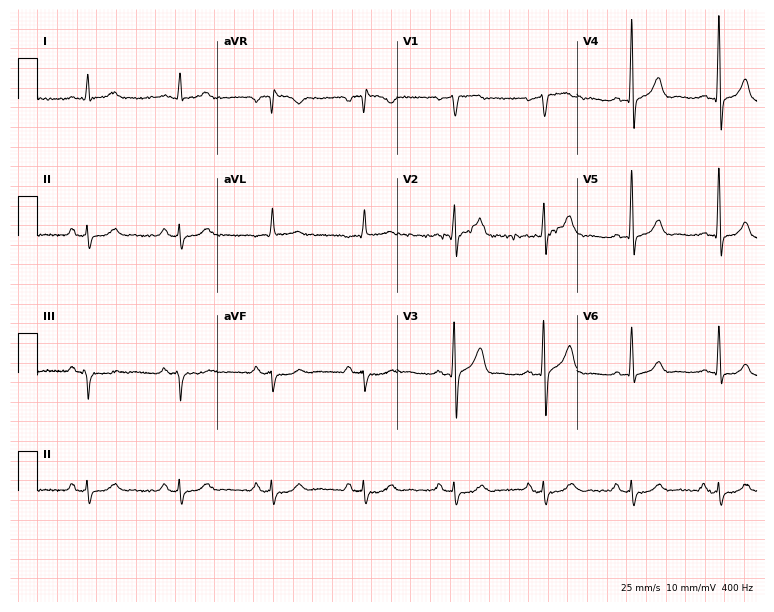
Resting 12-lead electrocardiogram (7.3-second recording at 400 Hz). Patient: a 65-year-old female. None of these six findings is recorded: first-degree AV block, right bundle branch block (RBBB), left bundle branch block (LBBB), sinus bradycardia, atrial fibrillation (AF), sinus tachycardia.